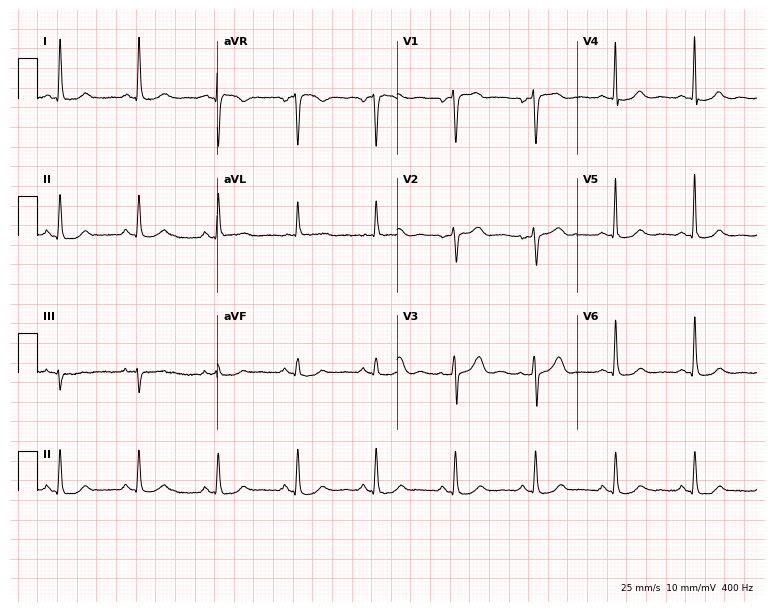
Electrocardiogram, a woman, 84 years old. Overall reading on record: normal ECG.